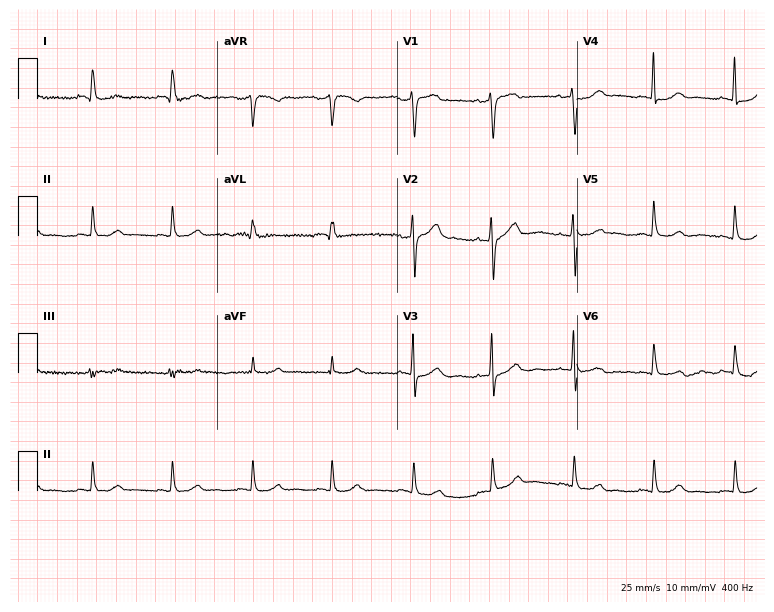
12-lead ECG from a 47-year-old female patient (7.3-second recording at 400 Hz). No first-degree AV block, right bundle branch block, left bundle branch block, sinus bradycardia, atrial fibrillation or sinus tachycardia recorded for this tracing.